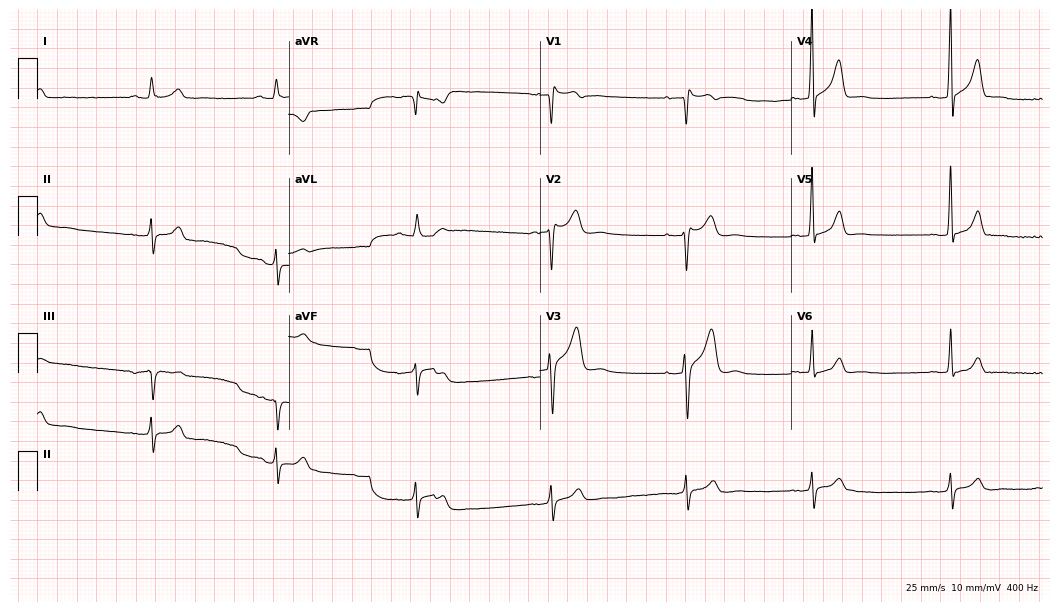
12-lead ECG from a 41-year-old male. Shows sinus bradycardia (a sinus rate of 50 beats per minute or less).